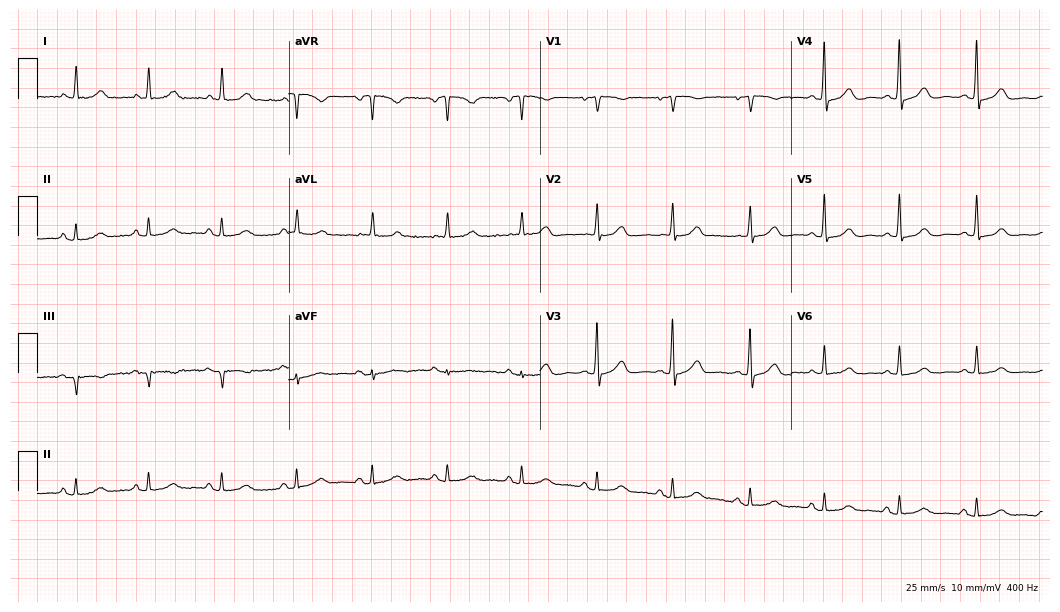
12-lead ECG (10.2-second recording at 400 Hz) from a female, 73 years old. Labelled as a normal ECG.